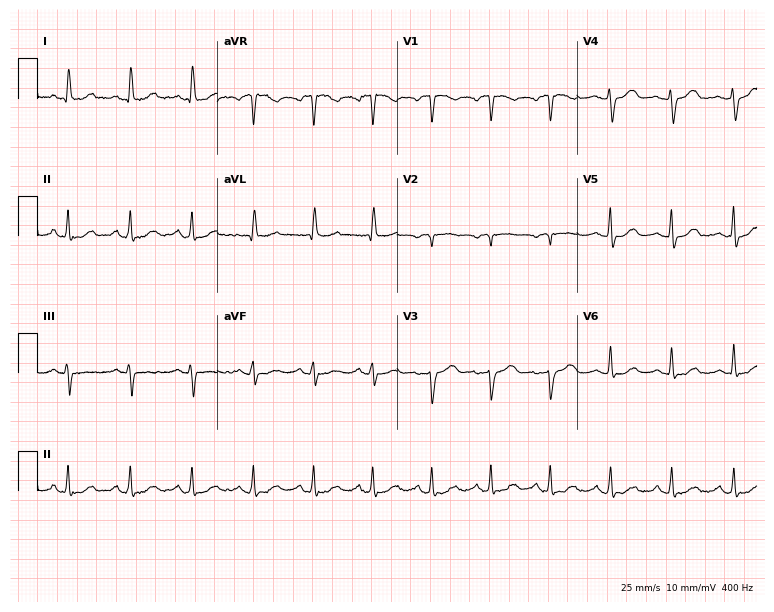
Resting 12-lead electrocardiogram. Patient: a 45-year-old female. Read as a normal ECG.